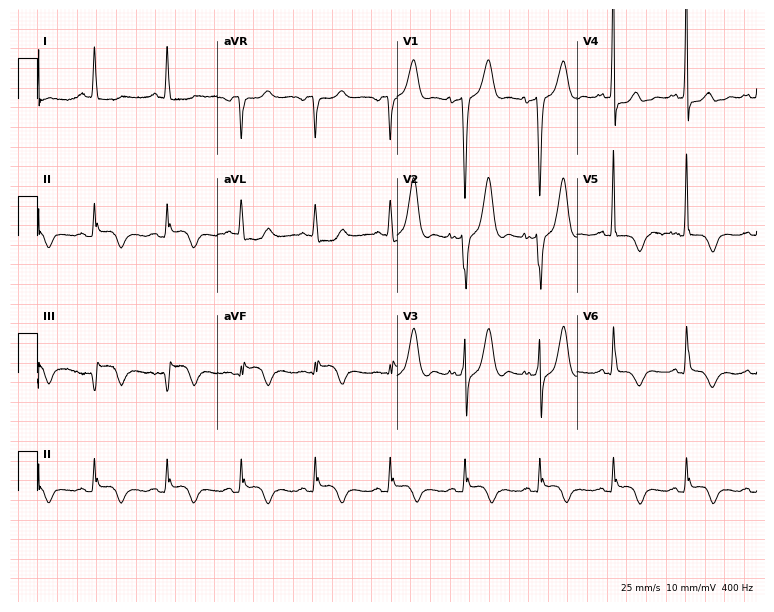
12-lead ECG from a woman, 62 years old (7.3-second recording at 400 Hz). No first-degree AV block, right bundle branch block, left bundle branch block, sinus bradycardia, atrial fibrillation or sinus tachycardia recorded for this tracing.